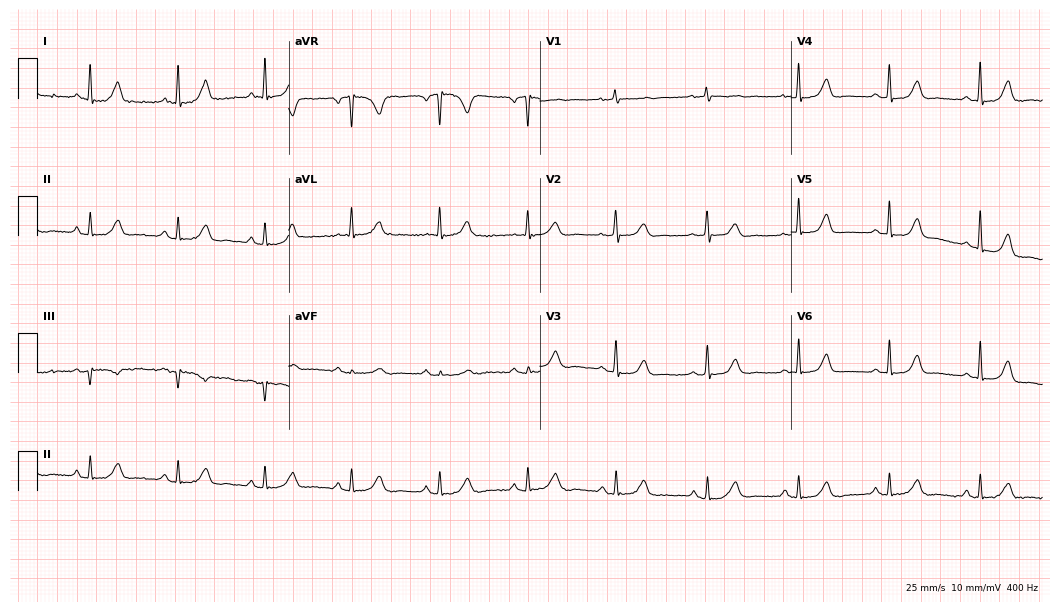
ECG — a woman, 74 years old. Labelled as a normal ECG.